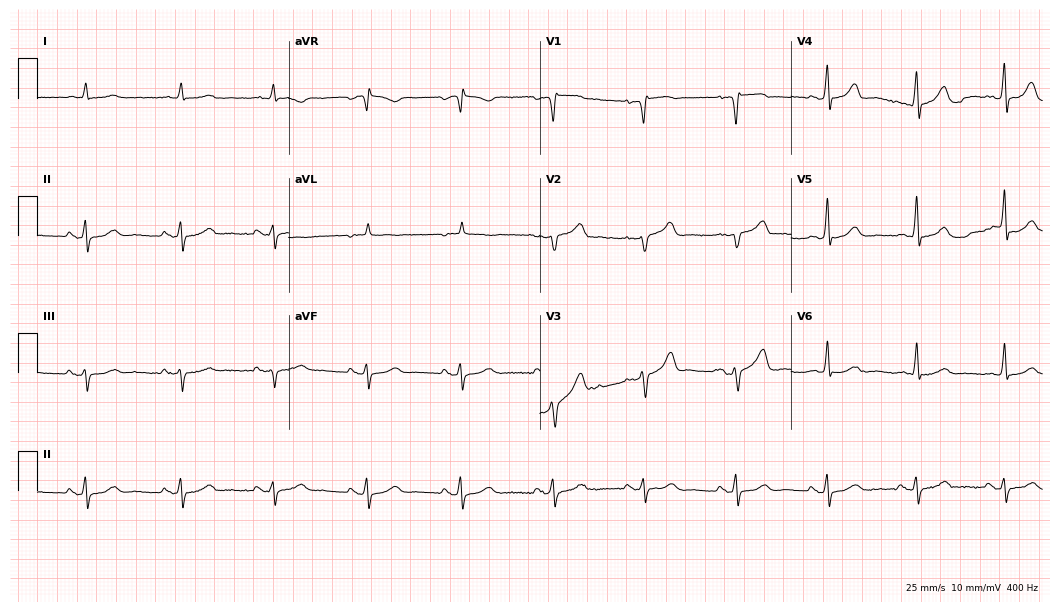
Electrocardiogram (10.2-second recording at 400 Hz), an 85-year-old male patient. Overall reading on record: normal ECG.